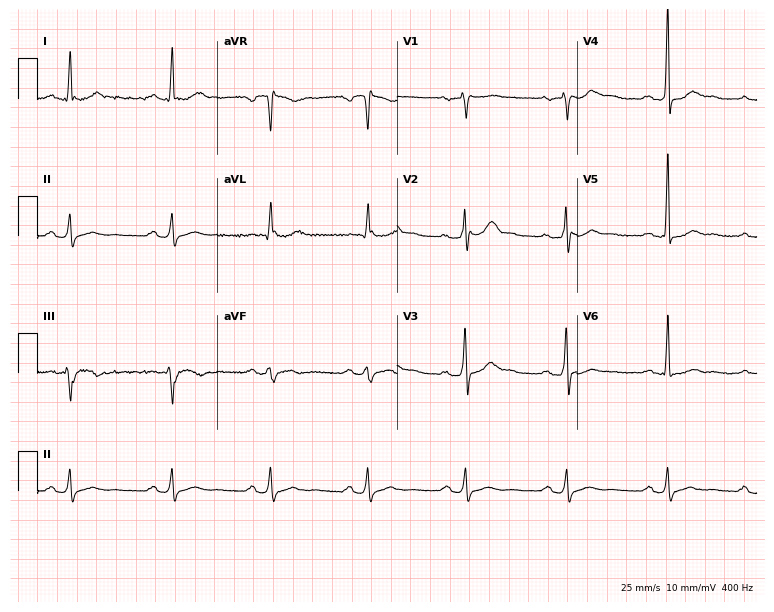
Standard 12-lead ECG recorded from a man, 46 years old. None of these six findings is recorded: first-degree AV block, right bundle branch block, left bundle branch block, sinus bradycardia, atrial fibrillation, sinus tachycardia.